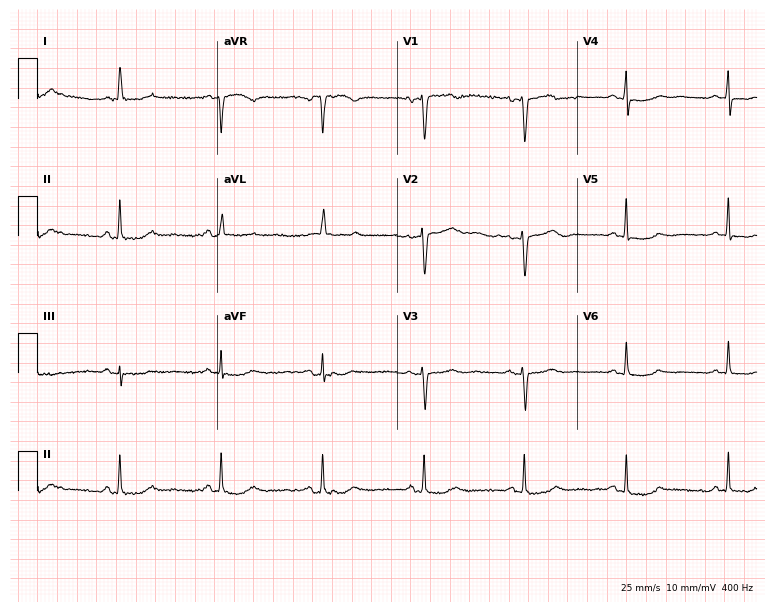
12-lead ECG from a 64-year-old woman. No first-degree AV block, right bundle branch block (RBBB), left bundle branch block (LBBB), sinus bradycardia, atrial fibrillation (AF) or sinus tachycardia recorded for this tracing.